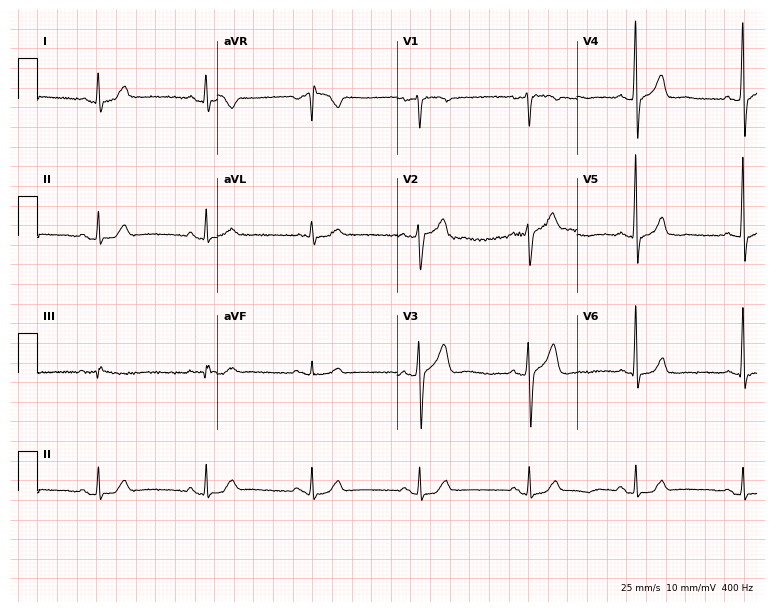
Electrocardiogram, a 48-year-old male patient. Overall reading on record: normal ECG.